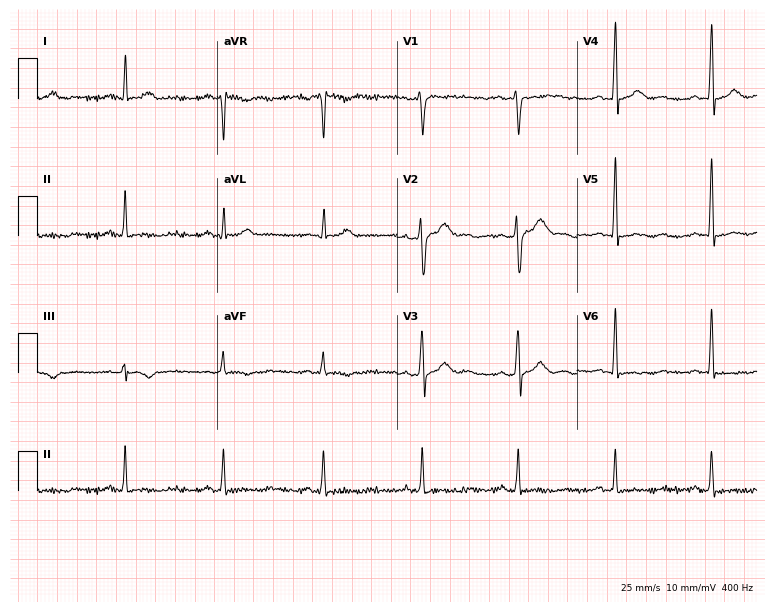
12-lead ECG (7.3-second recording at 400 Hz) from a male, 43 years old. Screened for six findings — first-degree AV block, right bundle branch block (RBBB), left bundle branch block (LBBB), sinus bradycardia, atrial fibrillation (AF), sinus tachycardia — none is recorded. Other findings, if any, are not listed.